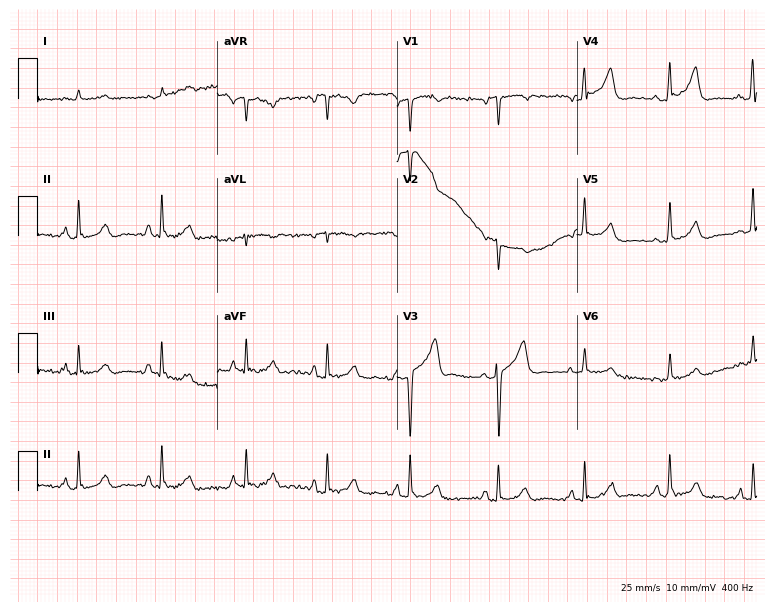
Electrocardiogram (7.3-second recording at 400 Hz), a man, 52 years old. Of the six screened findings (first-degree AV block, right bundle branch block, left bundle branch block, sinus bradycardia, atrial fibrillation, sinus tachycardia), none is recorded. Other findings, if any, are not listed.